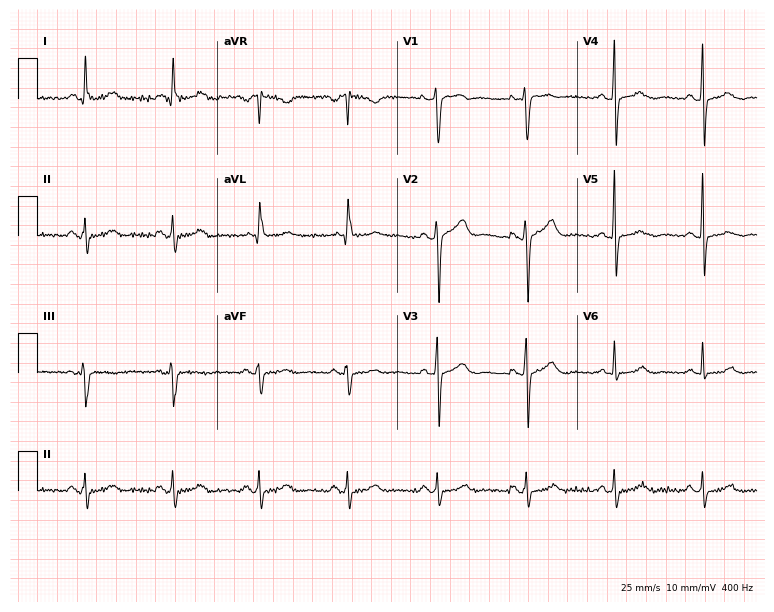
Standard 12-lead ECG recorded from a 50-year-old man. None of these six findings is recorded: first-degree AV block, right bundle branch block (RBBB), left bundle branch block (LBBB), sinus bradycardia, atrial fibrillation (AF), sinus tachycardia.